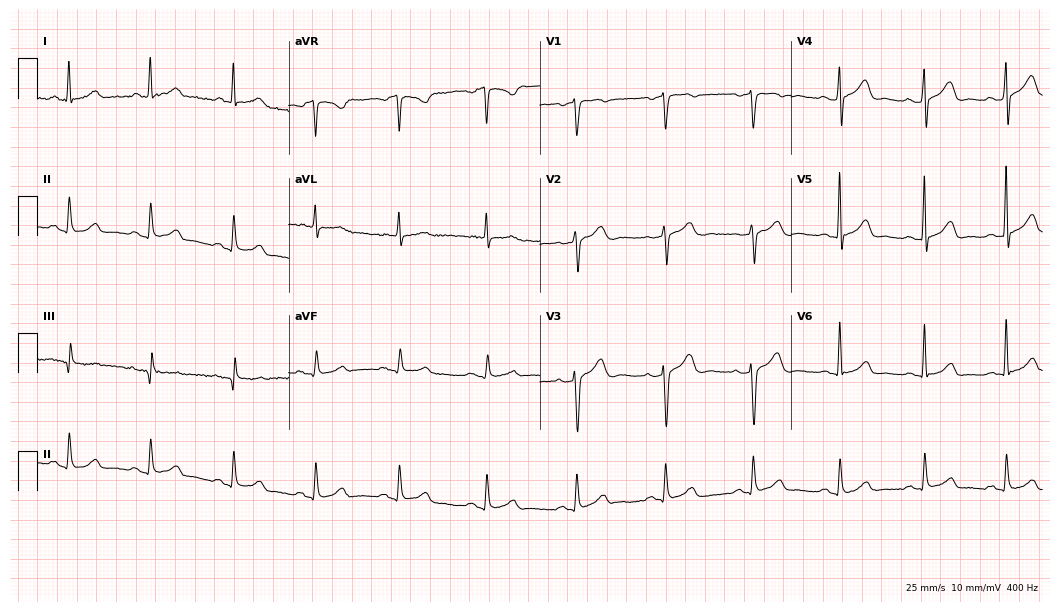
Resting 12-lead electrocardiogram. Patient: a 51-year-old female. None of these six findings is recorded: first-degree AV block, right bundle branch block, left bundle branch block, sinus bradycardia, atrial fibrillation, sinus tachycardia.